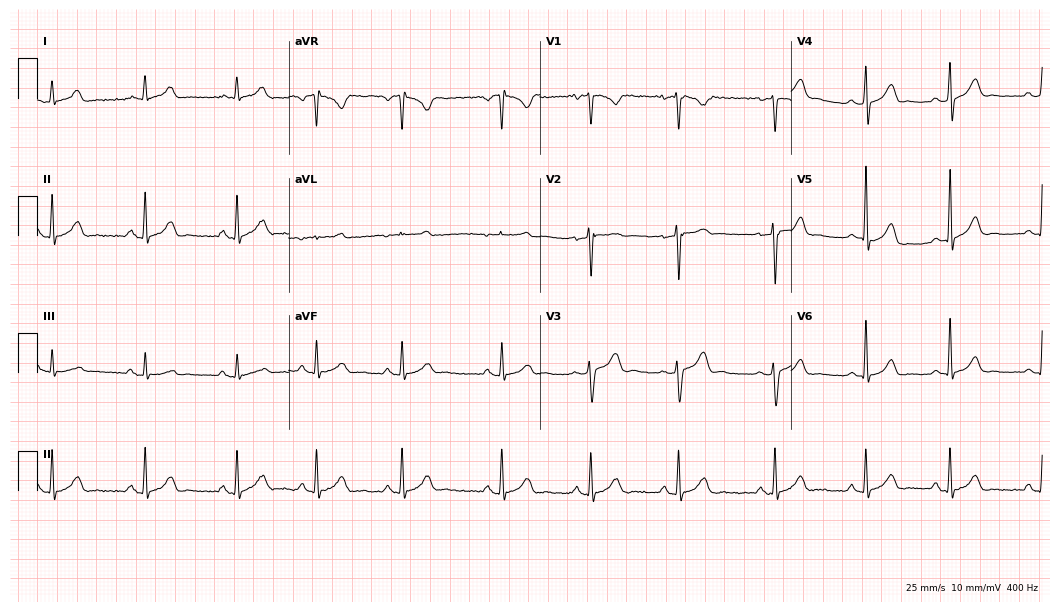
12-lead ECG from a 28-year-old female patient (10.2-second recording at 400 Hz). Recorded interpretation: within normal limits.